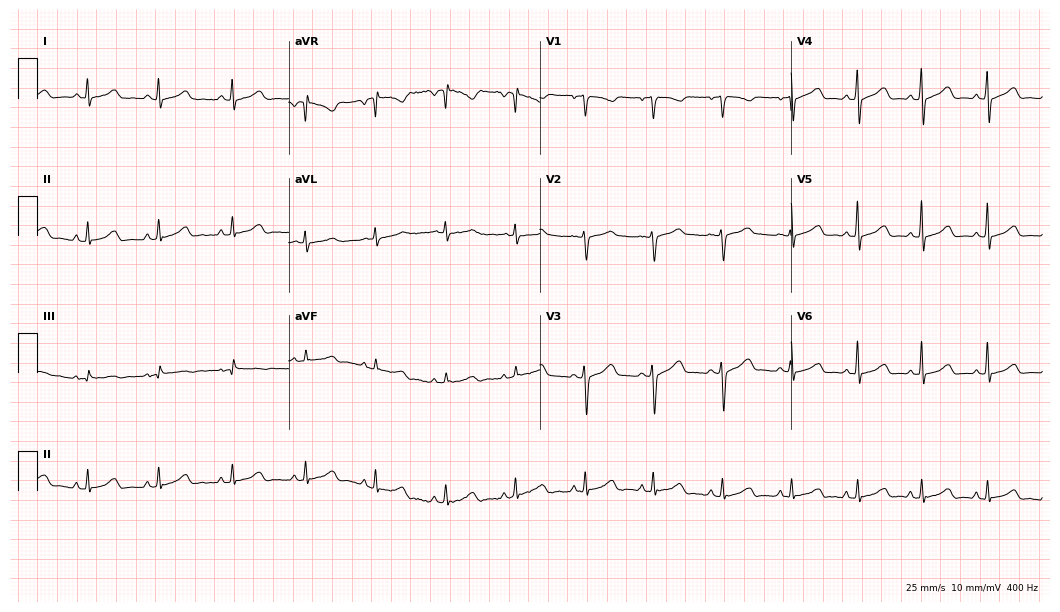
ECG (10.2-second recording at 400 Hz) — a female patient, 34 years old. Labelled as a normal ECG.